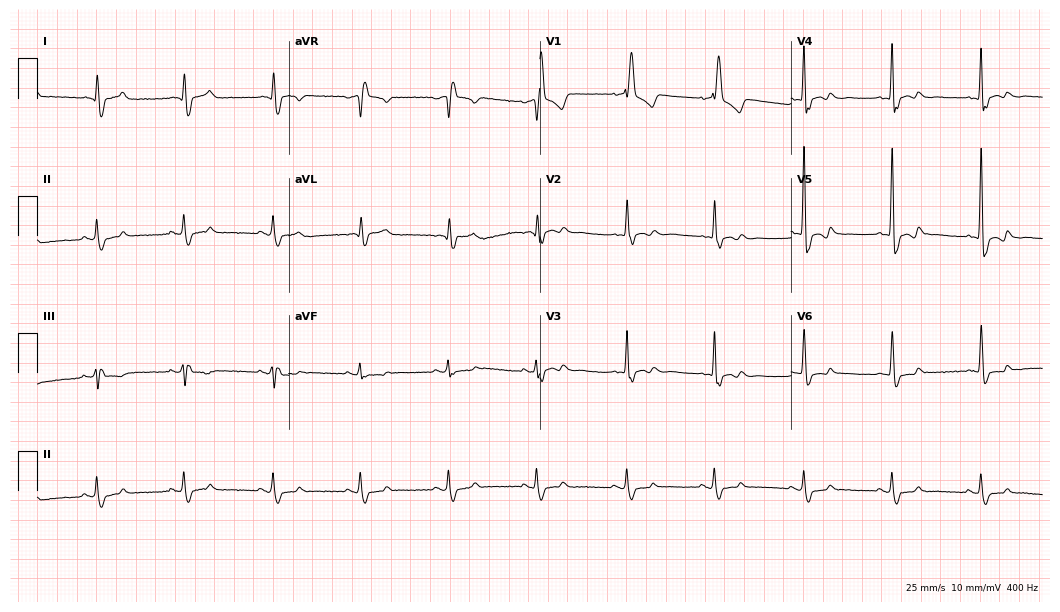
Standard 12-lead ECG recorded from a female patient, 83 years old. The tracing shows right bundle branch block.